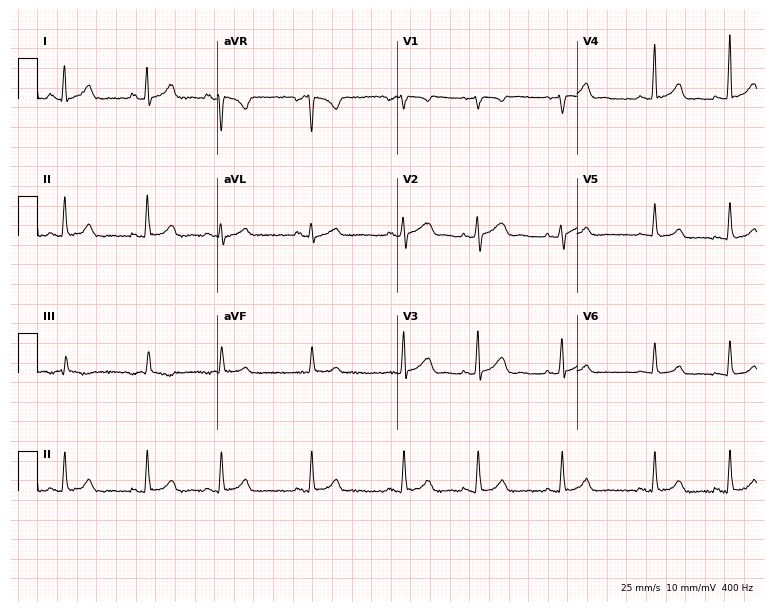
ECG (7.3-second recording at 400 Hz) — a woman, 22 years old. Screened for six findings — first-degree AV block, right bundle branch block, left bundle branch block, sinus bradycardia, atrial fibrillation, sinus tachycardia — none is recorded. Only these six findings were labelled.